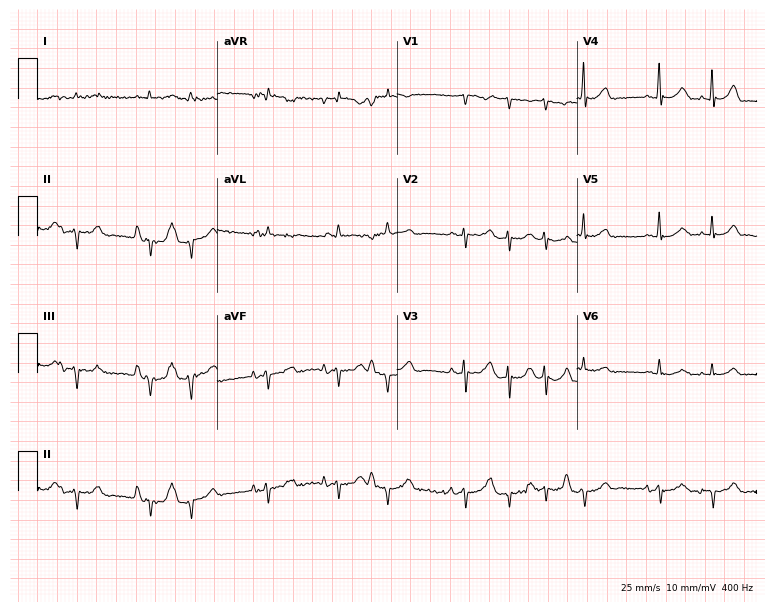
Electrocardiogram, a 77-year-old male patient. Interpretation includes atrial fibrillation.